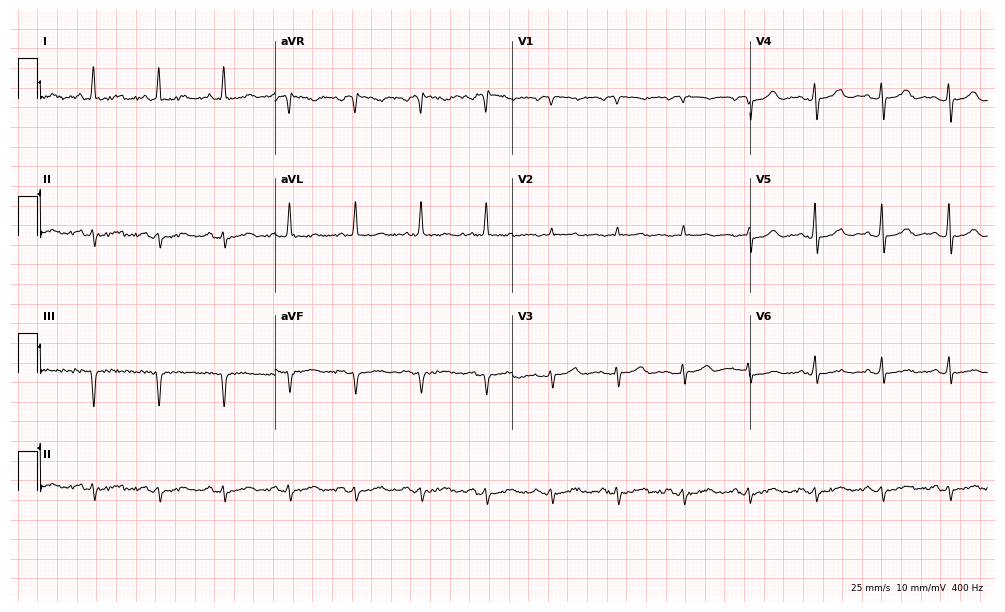
Resting 12-lead electrocardiogram. Patient: an 84-year-old female. None of these six findings is recorded: first-degree AV block, right bundle branch block, left bundle branch block, sinus bradycardia, atrial fibrillation, sinus tachycardia.